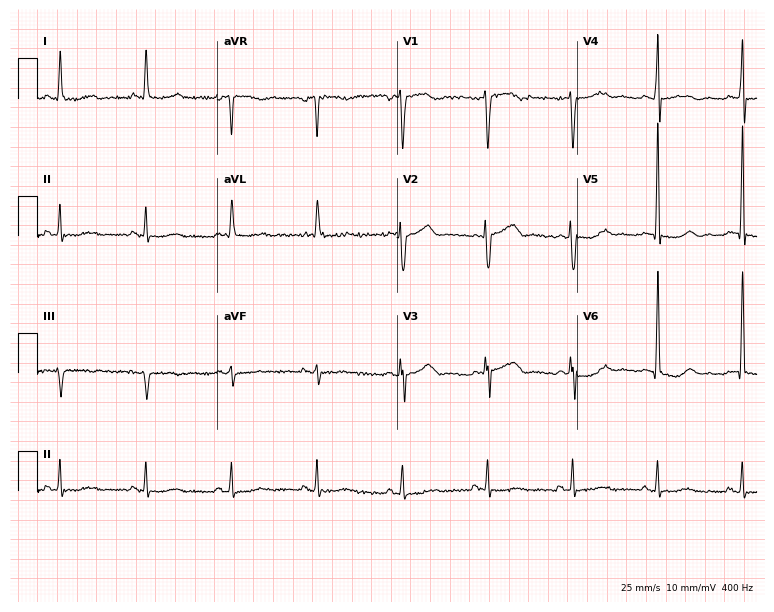
Standard 12-lead ECG recorded from a 74-year-old woman. Read as a normal ECG.